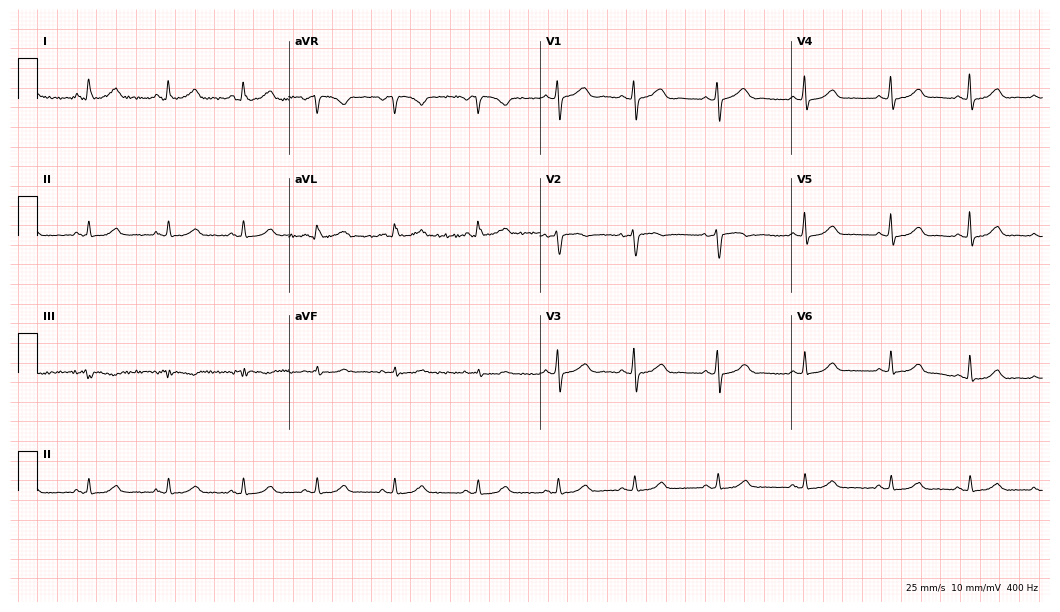
Electrocardiogram (10.2-second recording at 400 Hz), a 51-year-old female patient. Overall reading on record: normal ECG.